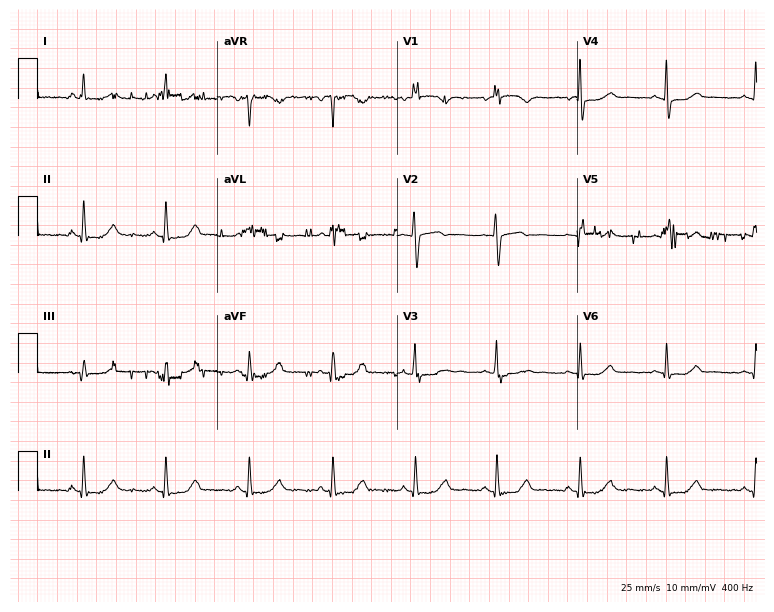
12-lead ECG from a 57-year-old female patient. Screened for six findings — first-degree AV block, right bundle branch block, left bundle branch block, sinus bradycardia, atrial fibrillation, sinus tachycardia — none is recorded.